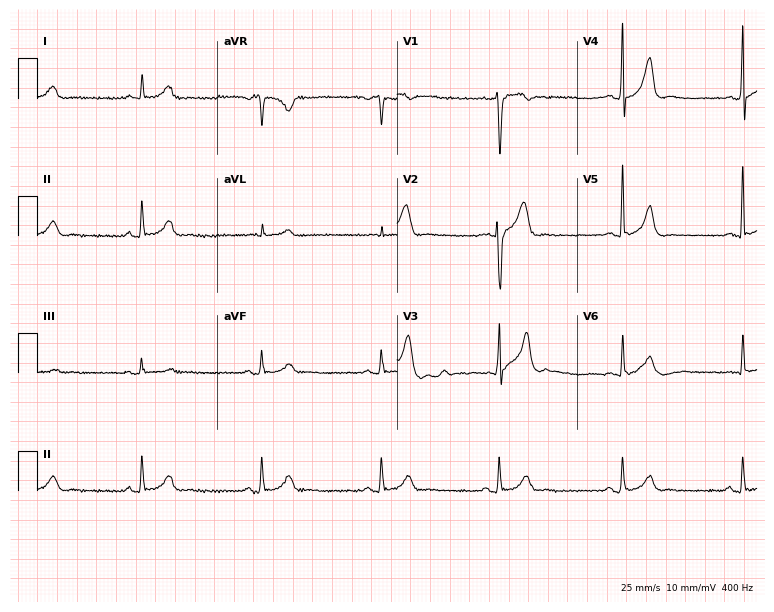
Electrocardiogram, a male patient, 51 years old. Of the six screened findings (first-degree AV block, right bundle branch block, left bundle branch block, sinus bradycardia, atrial fibrillation, sinus tachycardia), none is recorded. Other findings, if any, are not listed.